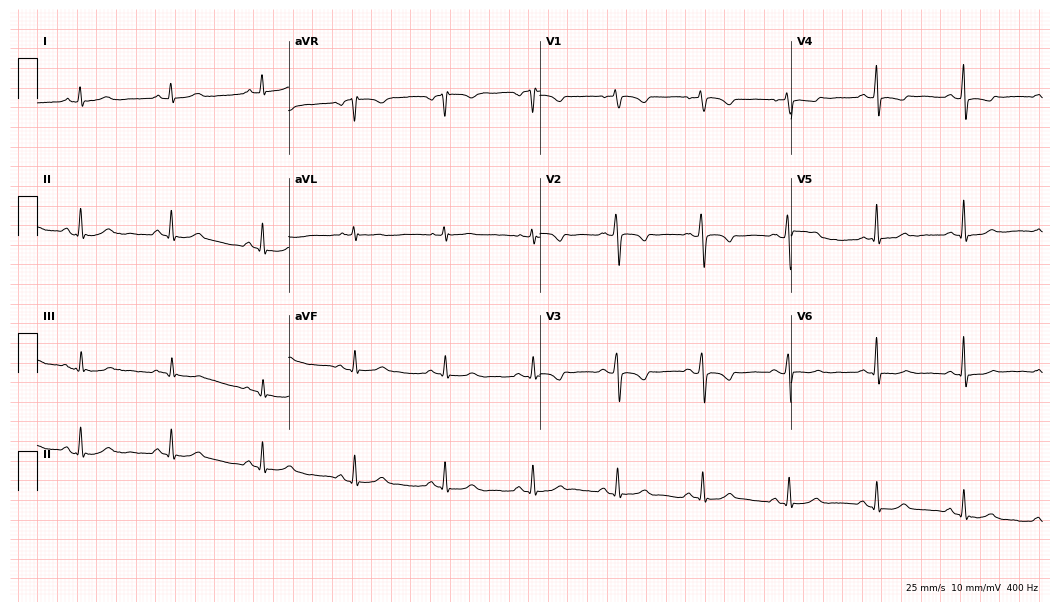
Electrocardiogram, a woman, 56 years old. Of the six screened findings (first-degree AV block, right bundle branch block (RBBB), left bundle branch block (LBBB), sinus bradycardia, atrial fibrillation (AF), sinus tachycardia), none is recorded. Only these six findings were labelled.